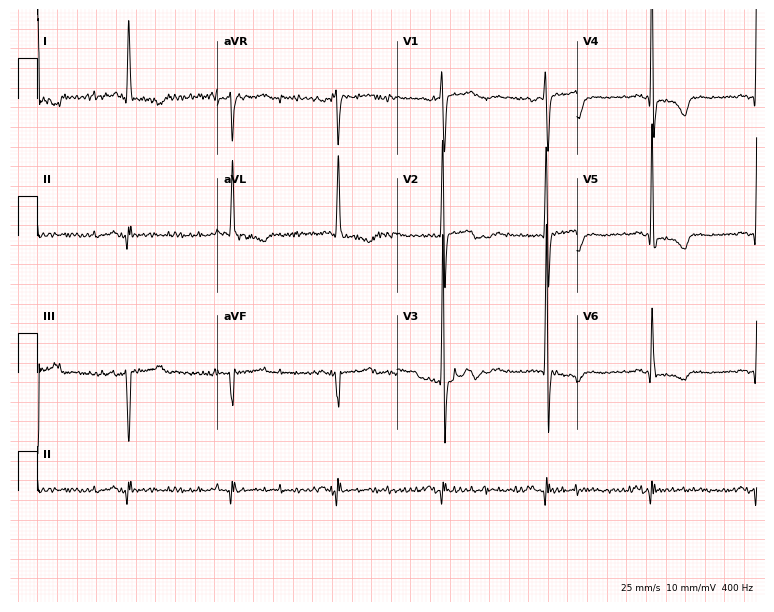
12-lead ECG from an 85-year-old female. No first-degree AV block, right bundle branch block, left bundle branch block, sinus bradycardia, atrial fibrillation or sinus tachycardia recorded for this tracing.